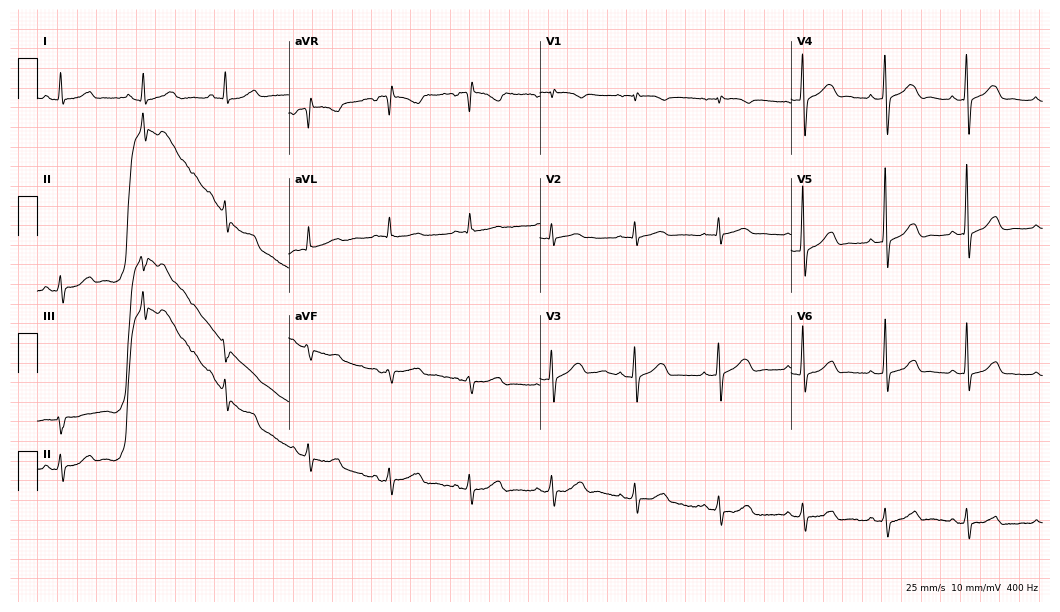
Standard 12-lead ECG recorded from a woman, 72 years old. None of these six findings is recorded: first-degree AV block, right bundle branch block, left bundle branch block, sinus bradycardia, atrial fibrillation, sinus tachycardia.